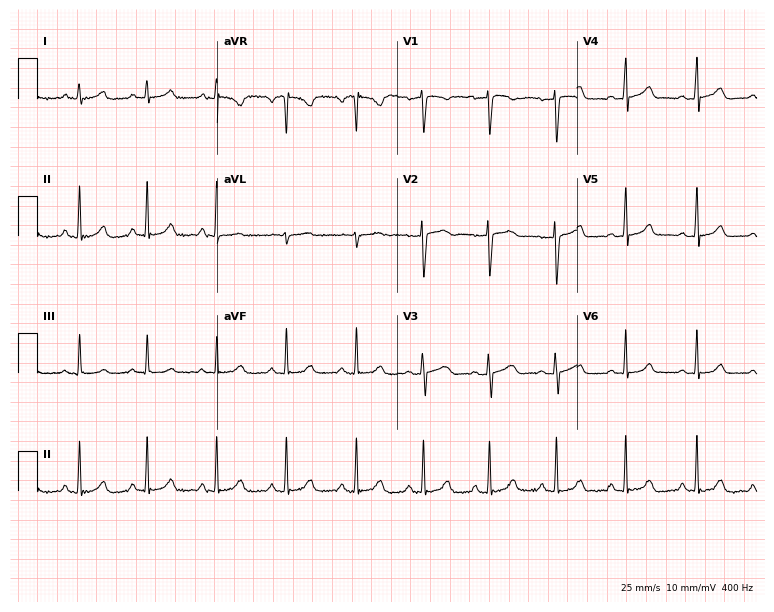
12-lead ECG from a male, 38 years old. Recorded interpretation: within normal limits.